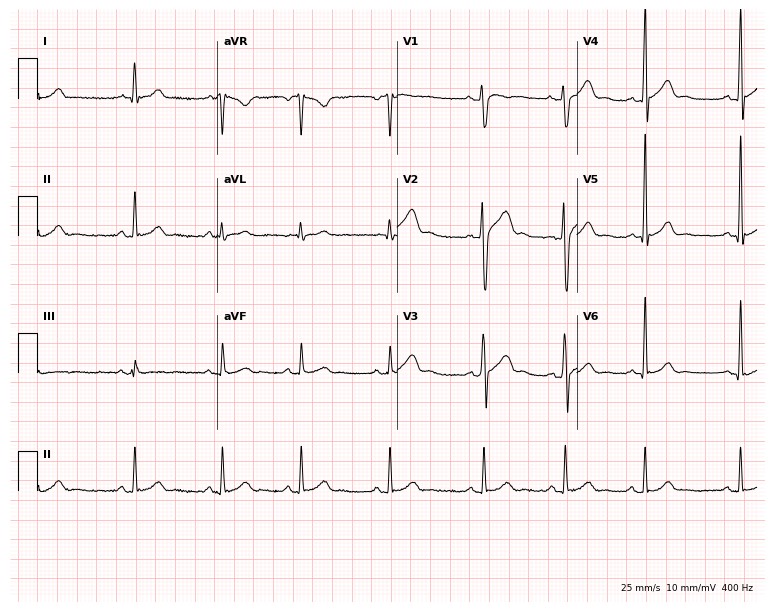
Electrocardiogram, a 32-year-old male patient. Of the six screened findings (first-degree AV block, right bundle branch block (RBBB), left bundle branch block (LBBB), sinus bradycardia, atrial fibrillation (AF), sinus tachycardia), none is recorded. Only these six findings were labelled.